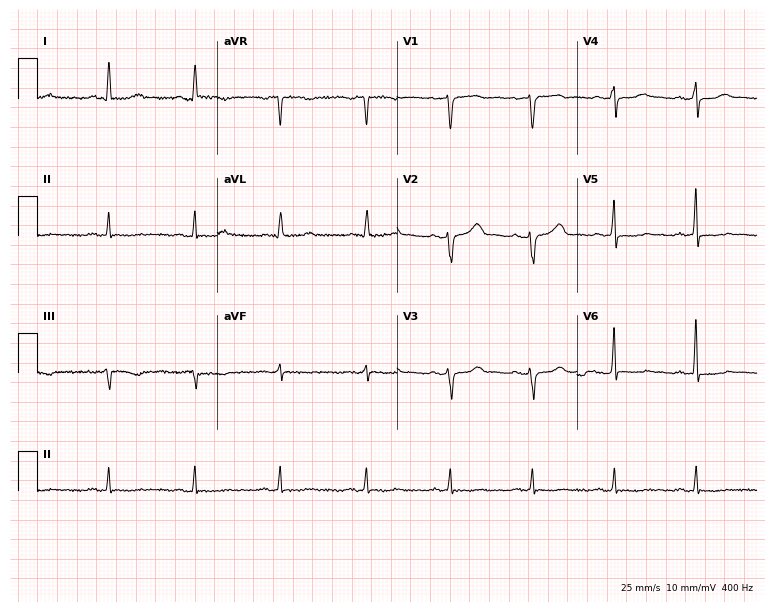
12-lead ECG from a female, 59 years old (7.3-second recording at 400 Hz). No first-degree AV block, right bundle branch block, left bundle branch block, sinus bradycardia, atrial fibrillation or sinus tachycardia recorded for this tracing. Other findings, if any, are not listed.